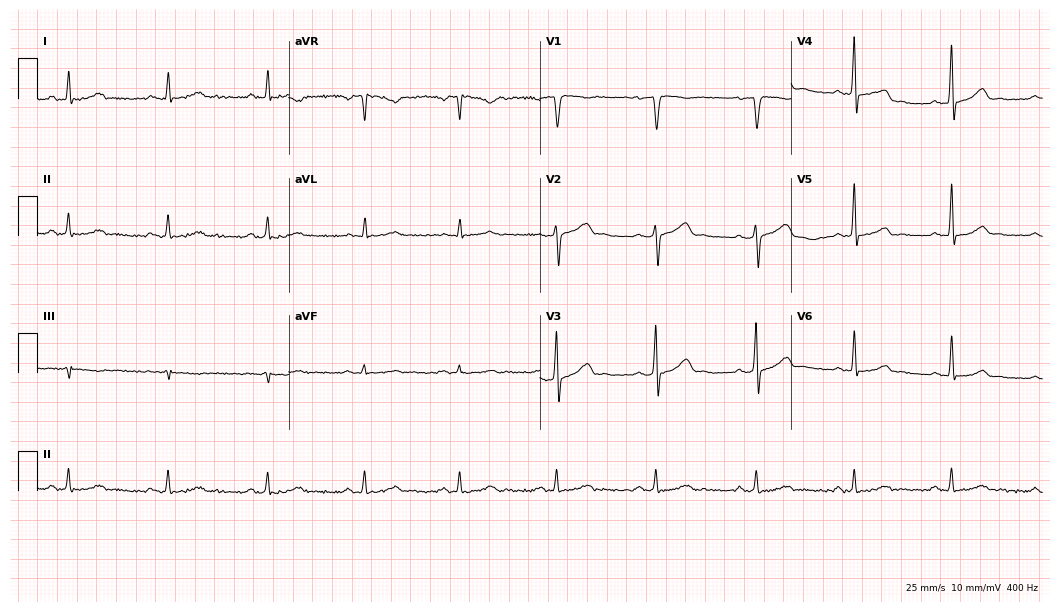
Standard 12-lead ECG recorded from a male patient, 55 years old. Read as a normal ECG.